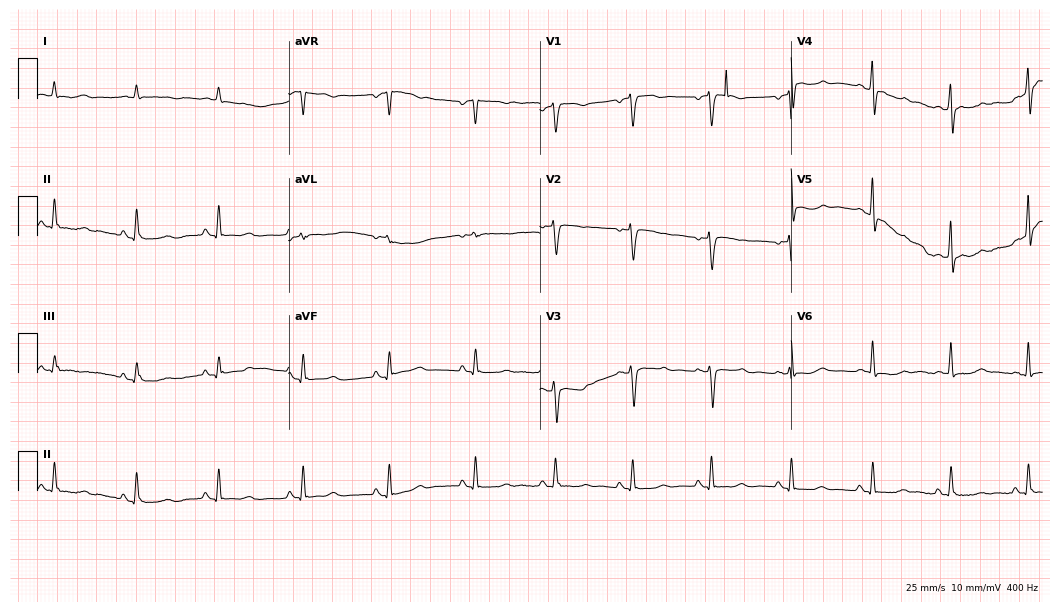
12-lead ECG from a 70-year-old female patient. No first-degree AV block, right bundle branch block, left bundle branch block, sinus bradycardia, atrial fibrillation or sinus tachycardia recorded for this tracing.